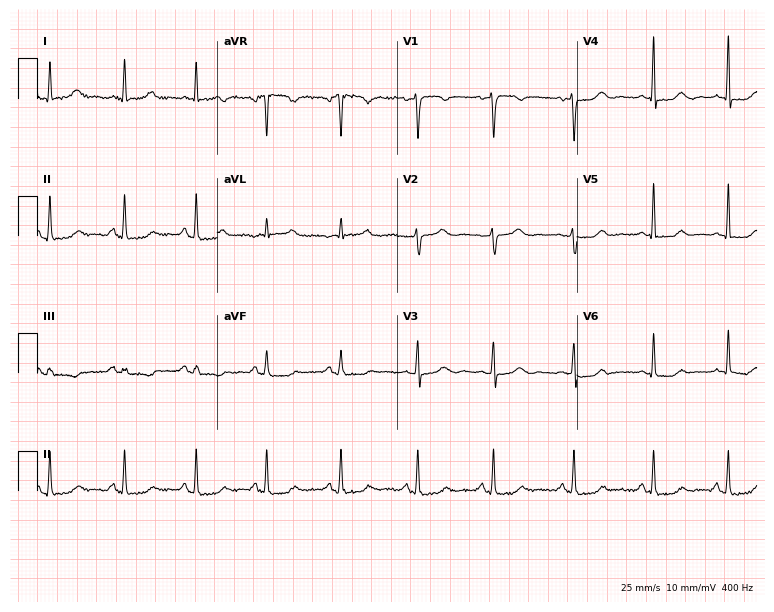
Standard 12-lead ECG recorded from a female patient, 48 years old (7.3-second recording at 400 Hz). None of these six findings is recorded: first-degree AV block, right bundle branch block (RBBB), left bundle branch block (LBBB), sinus bradycardia, atrial fibrillation (AF), sinus tachycardia.